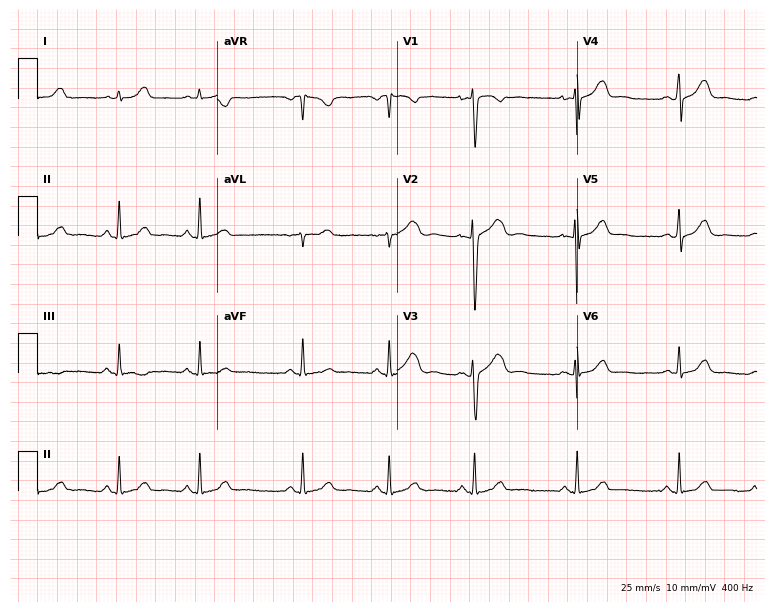
Electrocardiogram, a 19-year-old woman. Overall reading on record: normal ECG.